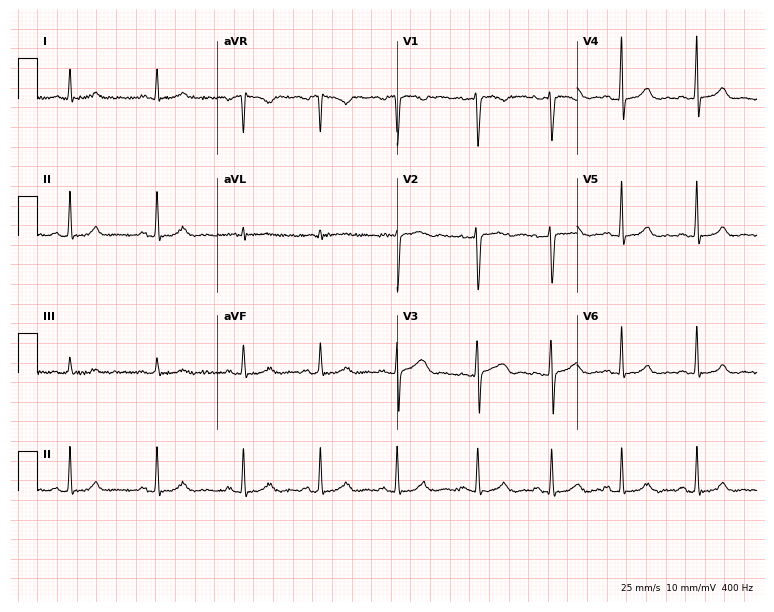
Resting 12-lead electrocardiogram. Patient: a 24-year-old female. Read as a normal ECG.